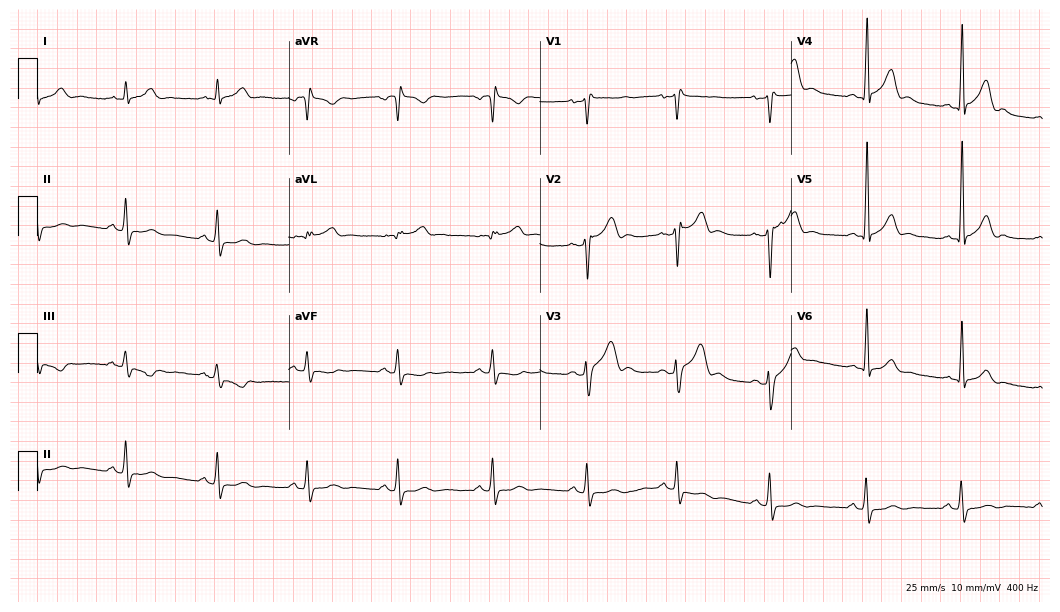
Electrocardiogram, a 26-year-old male patient. Of the six screened findings (first-degree AV block, right bundle branch block, left bundle branch block, sinus bradycardia, atrial fibrillation, sinus tachycardia), none is recorded. Only these six findings were labelled.